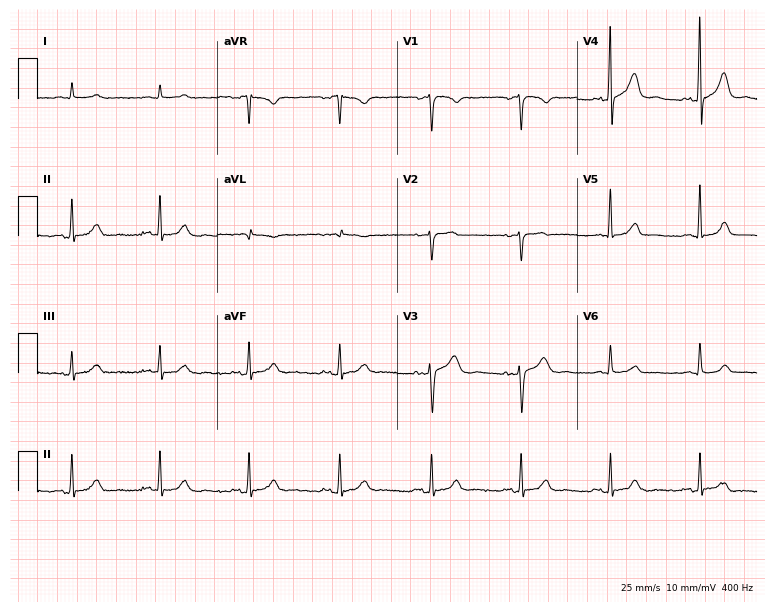
Resting 12-lead electrocardiogram (7.3-second recording at 400 Hz). Patient: a man, 67 years old. Read as a normal ECG.